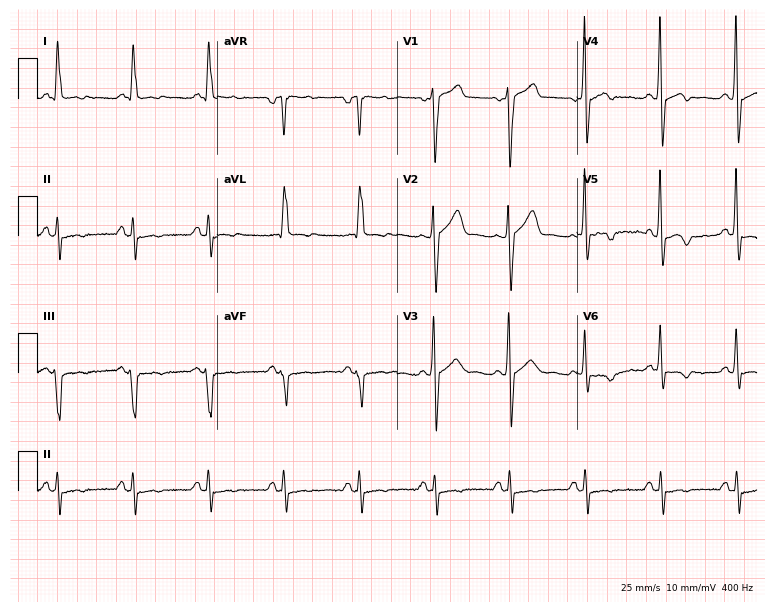
Electrocardiogram (7.3-second recording at 400 Hz), a male patient, 62 years old. Of the six screened findings (first-degree AV block, right bundle branch block, left bundle branch block, sinus bradycardia, atrial fibrillation, sinus tachycardia), none is recorded.